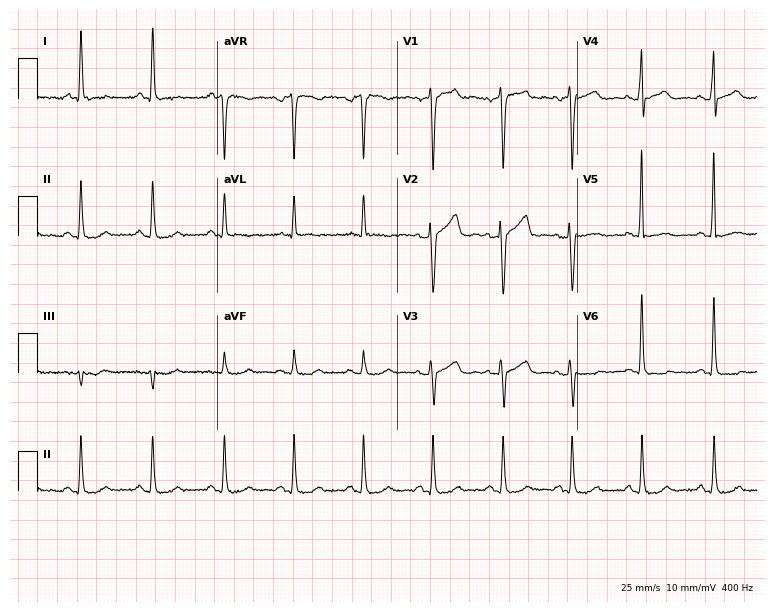
ECG (7.3-second recording at 400 Hz) — a woman, 57 years old. Screened for six findings — first-degree AV block, right bundle branch block, left bundle branch block, sinus bradycardia, atrial fibrillation, sinus tachycardia — none is recorded. Findings outside these six are not listed.